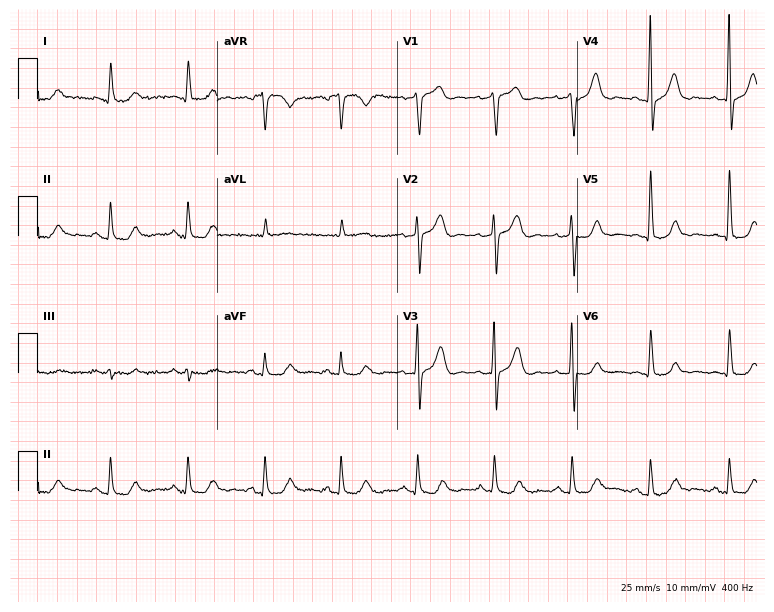
Electrocardiogram (7.3-second recording at 400 Hz), a 66-year-old male. Overall reading on record: normal ECG.